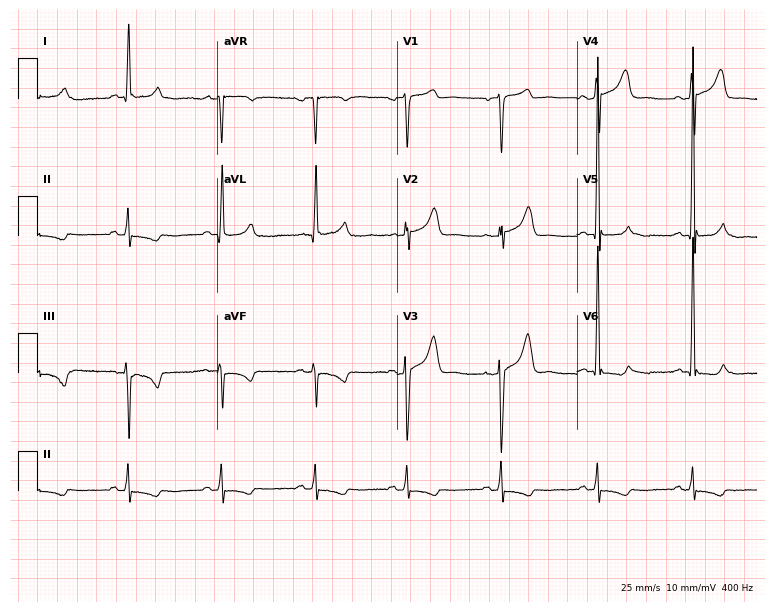
ECG — a 54-year-old man. Screened for six findings — first-degree AV block, right bundle branch block, left bundle branch block, sinus bradycardia, atrial fibrillation, sinus tachycardia — none is recorded.